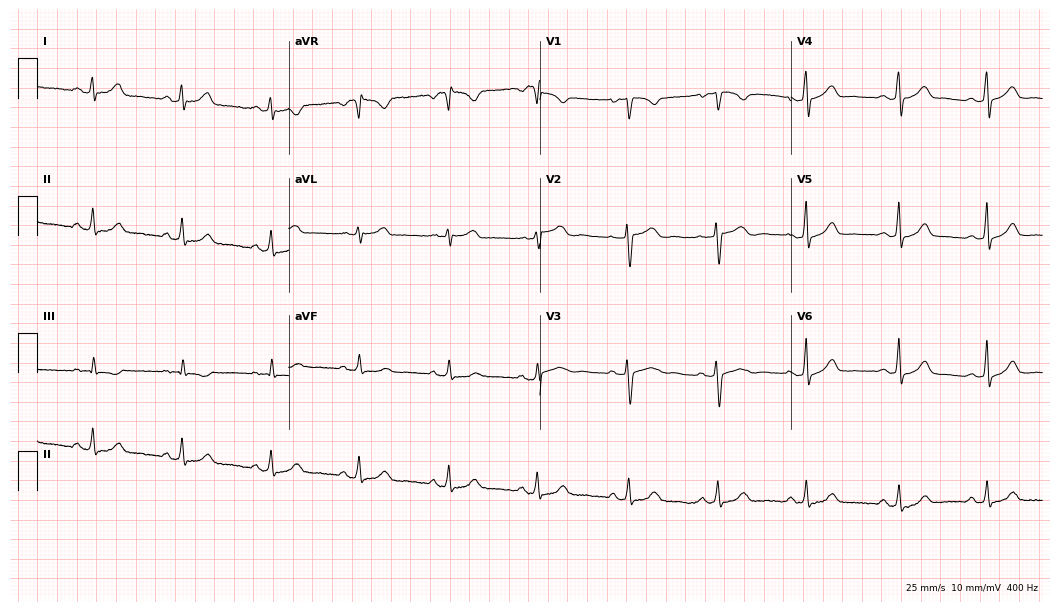
12-lead ECG from a 34-year-old female patient. Recorded interpretation: within normal limits.